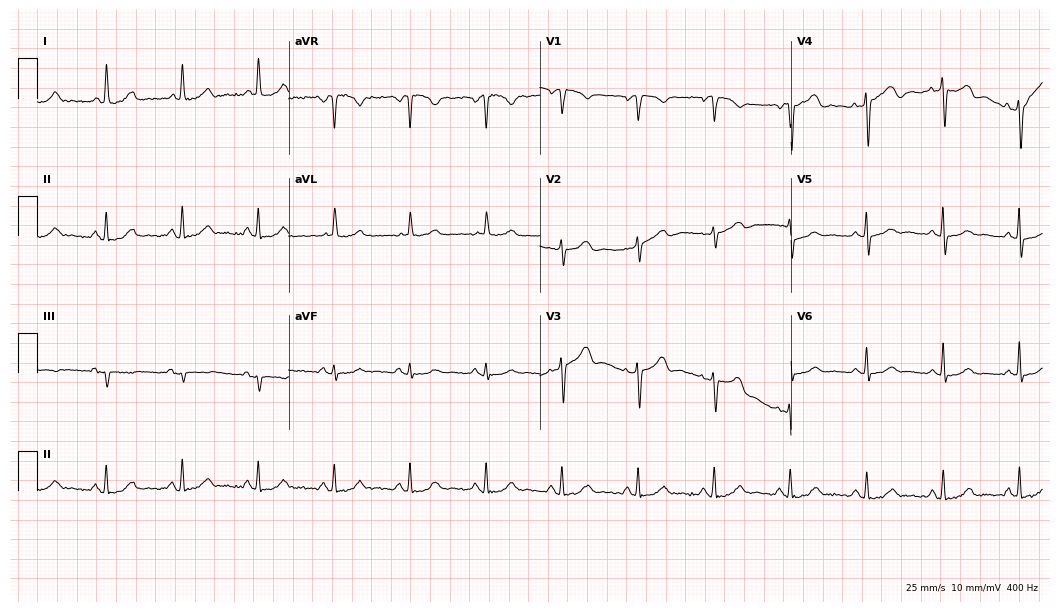
Resting 12-lead electrocardiogram (10.2-second recording at 400 Hz). Patient: a 77-year-old woman. Read as a normal ECG.